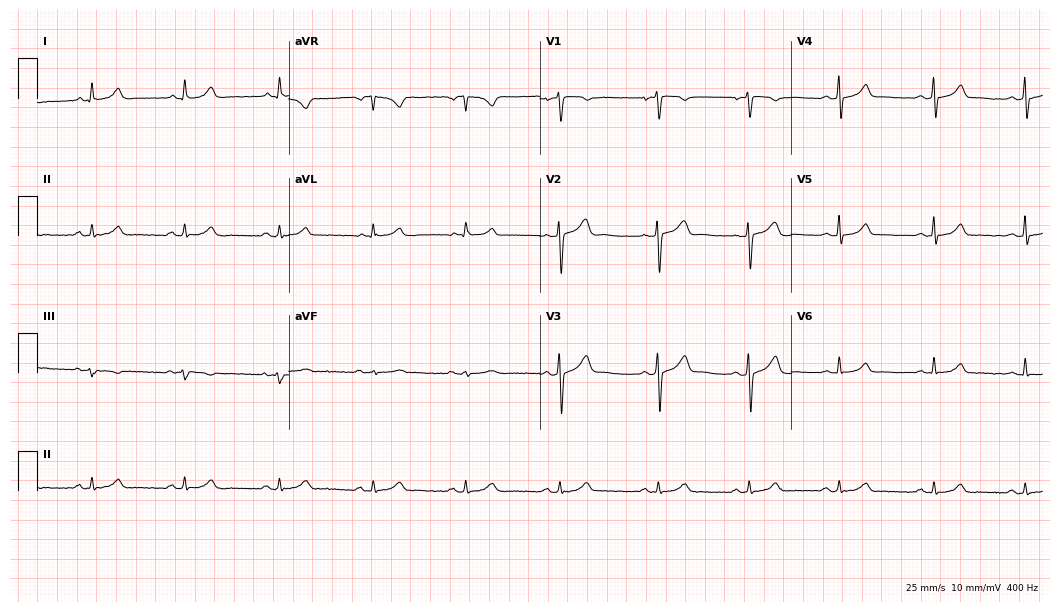
12-lead ECG from a 28-year-old male. No first-degree AV block, right bundle branch block, left bundle branch block, sinus bradycardia, atrial fibrillation or sinus tachycardia recorded for this tracing. Findings outside these six are not listed.